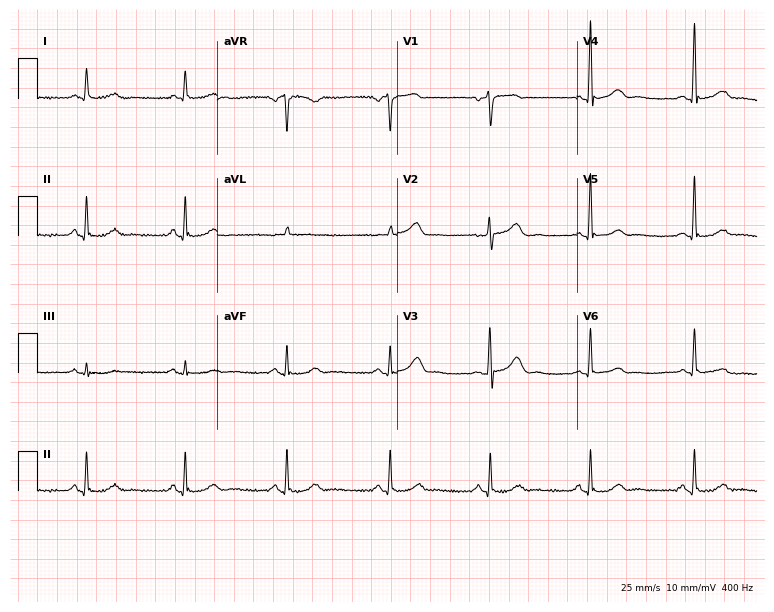
Electrocardiogram (7.3-second recording at 400 Hz), a 59-year-old woman. Of the six screened findings (first-degree AV block, right bundle branch block, left bundle branch block, sinus bradycardia, atrial fibrillation, sinus tachycardia), none is recorded.